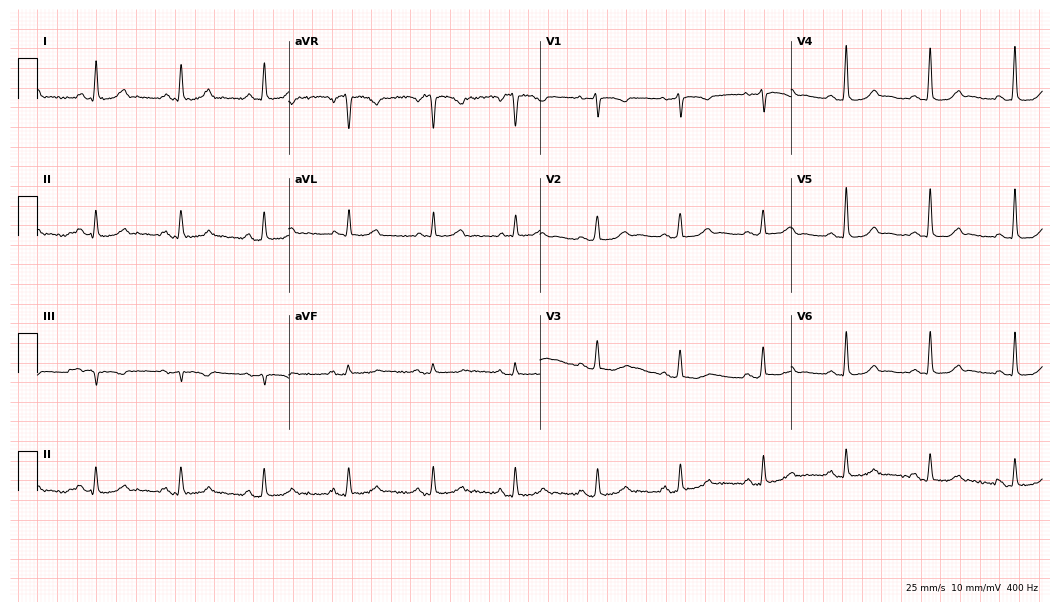
Resting 12-lead electrocardiogram (10.2-second recording at 400 Hz). Patient: a 56-year-old female. Read as a normal ECG.